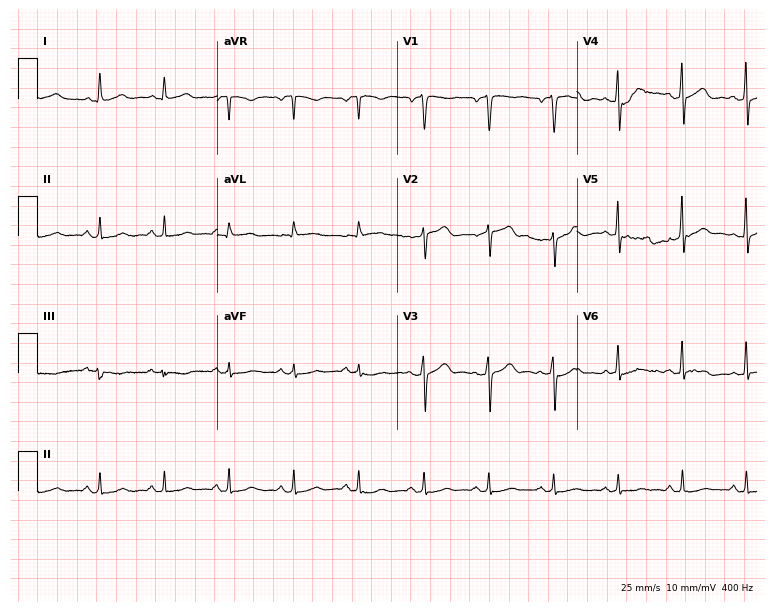
Standard 12-lead ECG recorded from a 65-year-old male patient (7.3-second recording at 400 Hz). Read as a normal ECG.